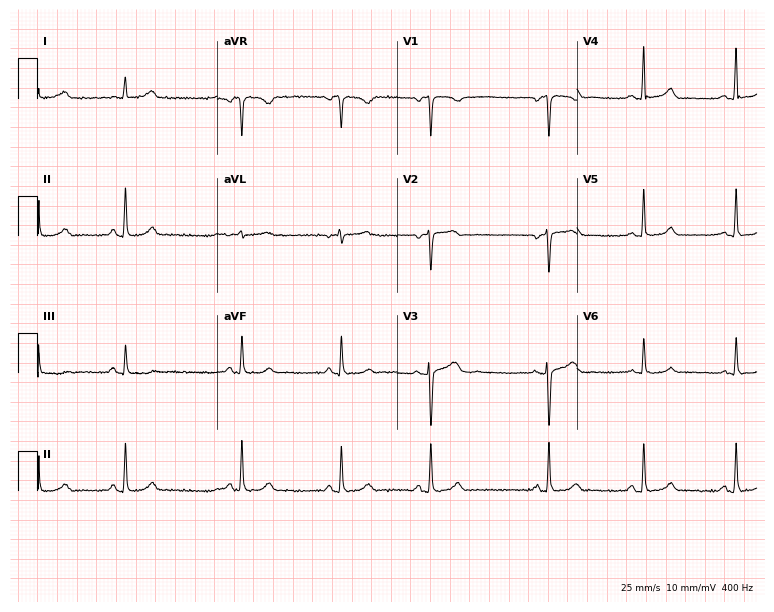
Standard 12-lead ECG recorded from a female, 35 years old (7.3-second recording at 400 Hz). Read as a normal ECG.